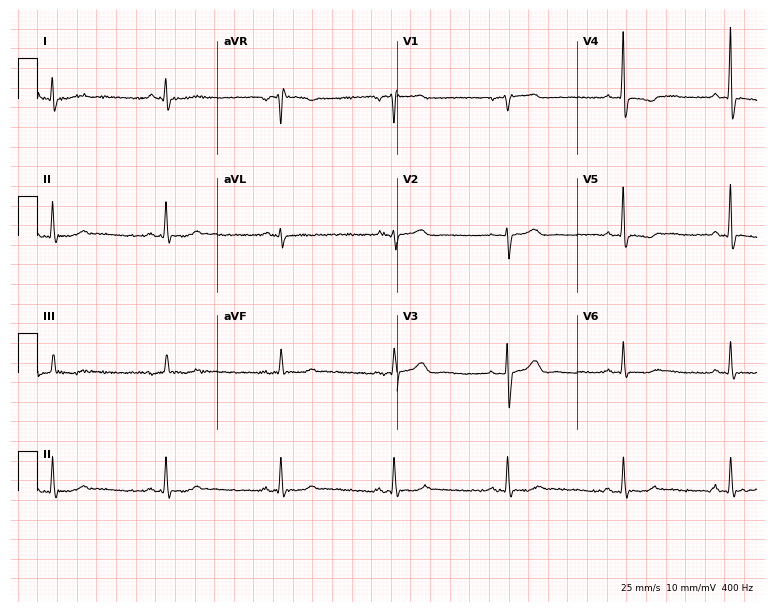
12-lead ECG (7.3-second recording at 400 Hz) from a woman, 68 years old. Labelled as a normal ECG.